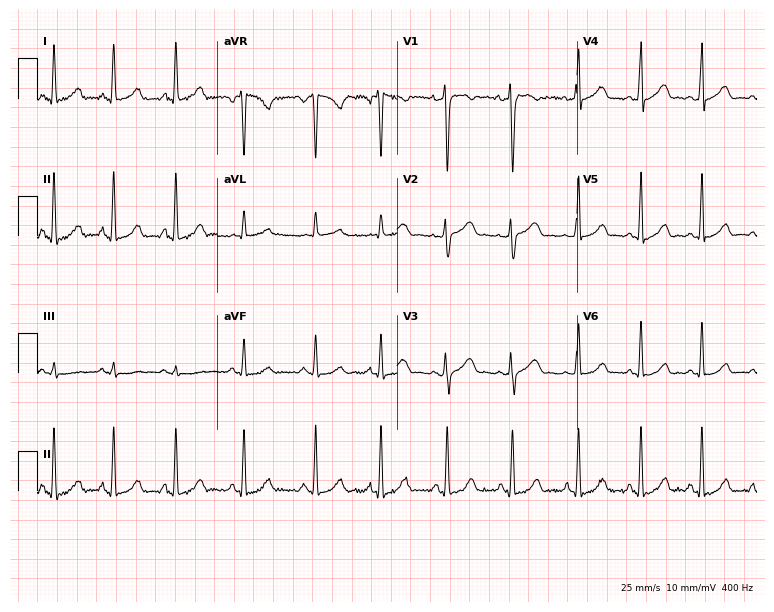
Resting 12-lead electrocardiogram. Patient: a 24-year-old male. None of these six findings is recorded: first-degree AV block, right bundle branch block, left bundle branch block, sinus bradycardia, atrial fibrillation, sinus tachycardia.